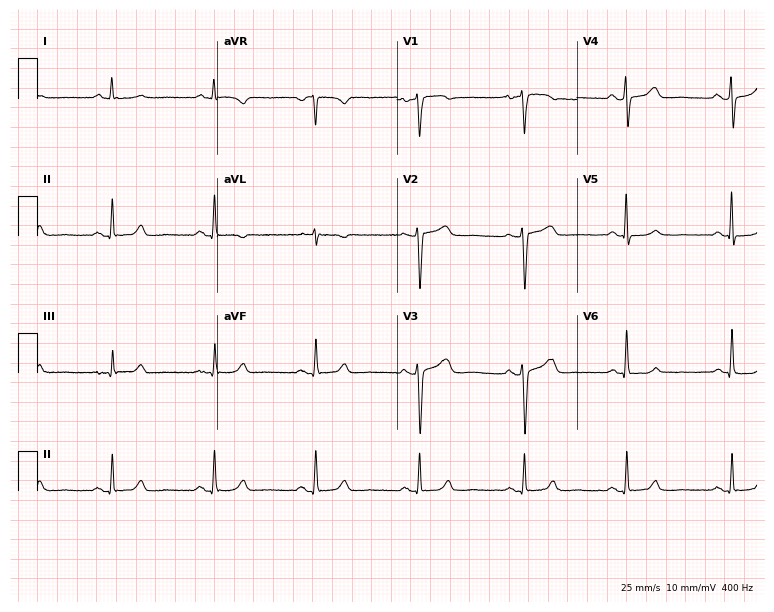
12-lead ECG (7.3-second recording at 400 Hz) from a 59-year-old woman. Labelled as a normal ECG.